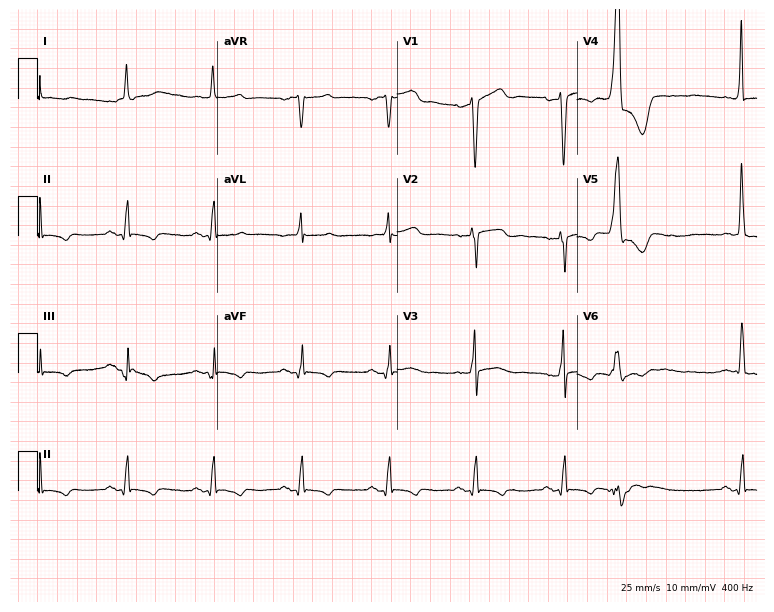
ECG (7.3-second recording at 400 Hz) — a 74-year-old male patient. Screened for six findings — first-degree AV block, right bundle branch block, left bundle branch block, sinus bradycardia, atrial fibrillation, sinus tachycardia — none is recorded.